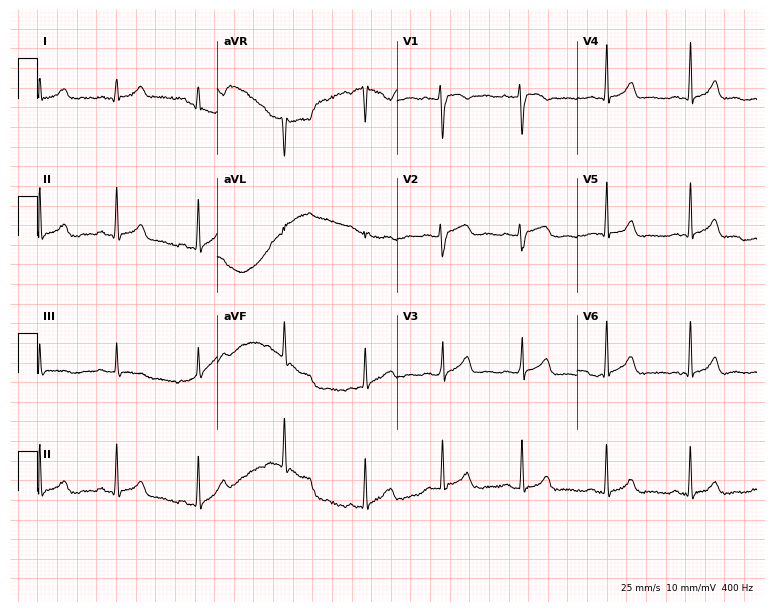
12-lead ECG from a female patient, 32 years old (7.3-second recording at 400 Hz). Recorded interpretation: within normal limits.